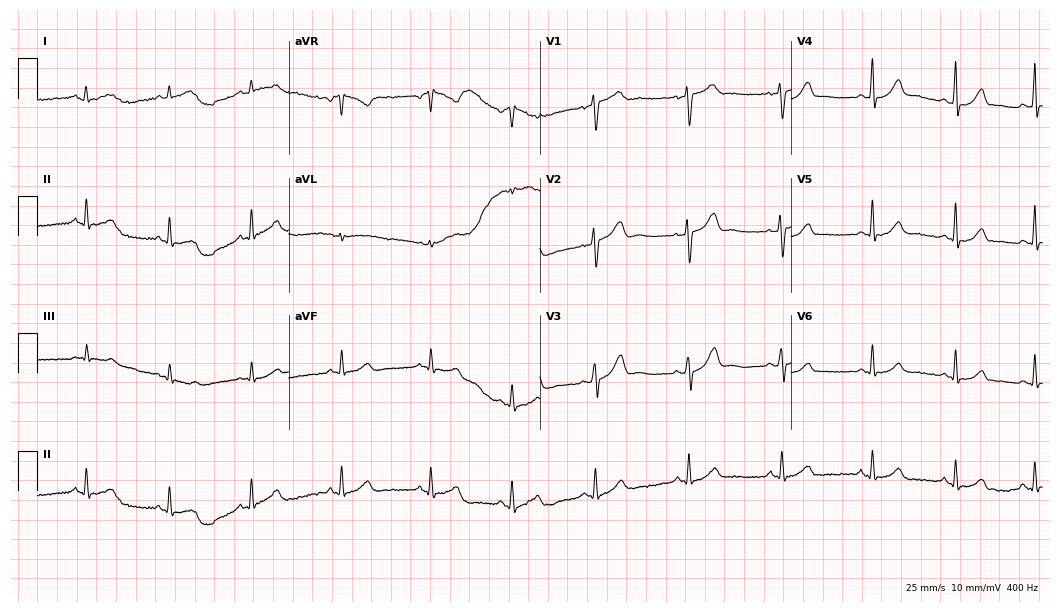
Resting 12-lead electrocardiogram. Patient: a 45-year-old female. None of these six findings is recorded: first-degree AV block, right bundle branch block (RBBB), left bundle branch block (LBBB), sinus bradycardia, atrial fibrillation (AF), sinus tachycardia.